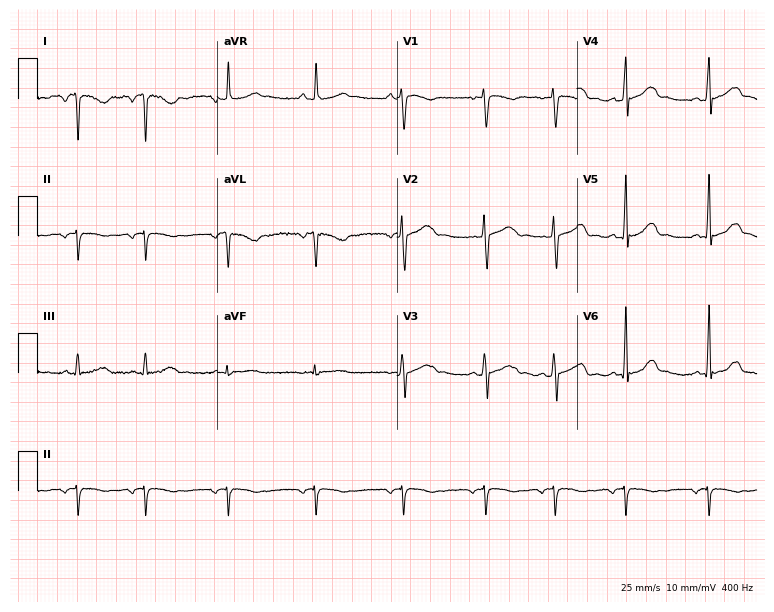
Resting 12-lead electrocardiogram. Patient: a female, 25 years old. None of these six findings is recorded: first-degree AV block, right bundle branch block, left bundle branch block, sinus bradycardia, atrial fibrillation, sinus tachycardia.